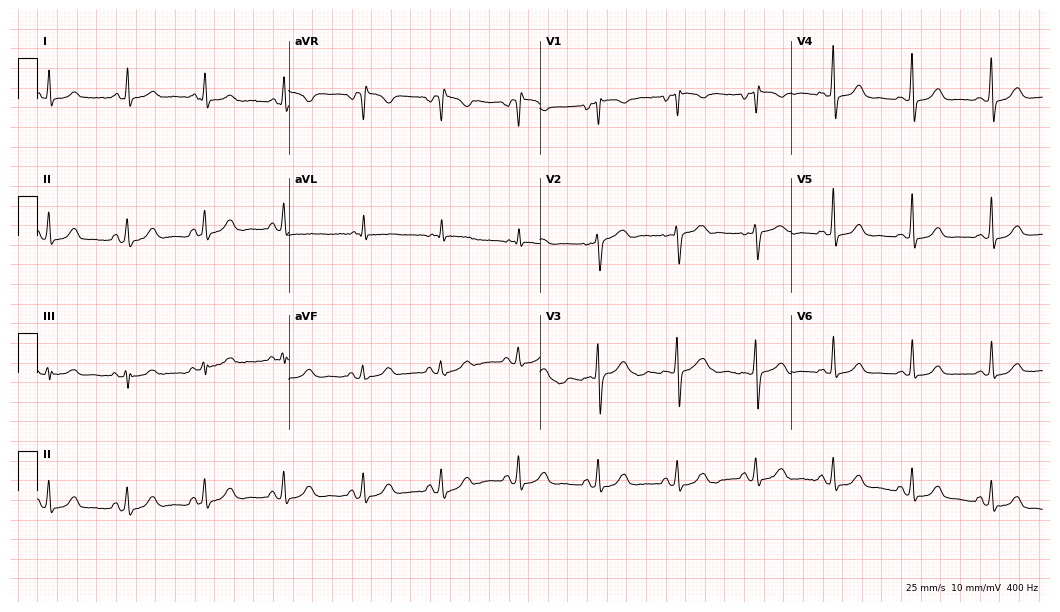
Resting 12-lead electrocardiogram (10.2-second recording at 400 Hz). Patient: a female, 49 years old. Read as a normal ECG.